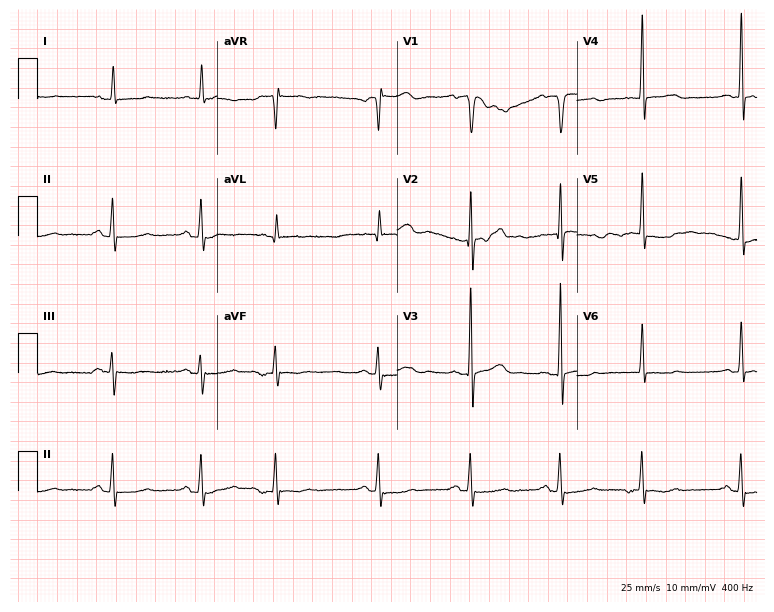
Resting 12-lead electrocardiogram (7.3-second recording at 400 Hz). Patient: a 78-year-old male. None of these six findings is recorded: first-degree AV block, right bundle branch block, left bundle branch block, sinus bradycardia, atrial fibrillation, sinus tachycardia. Findings outside these six are not listed.